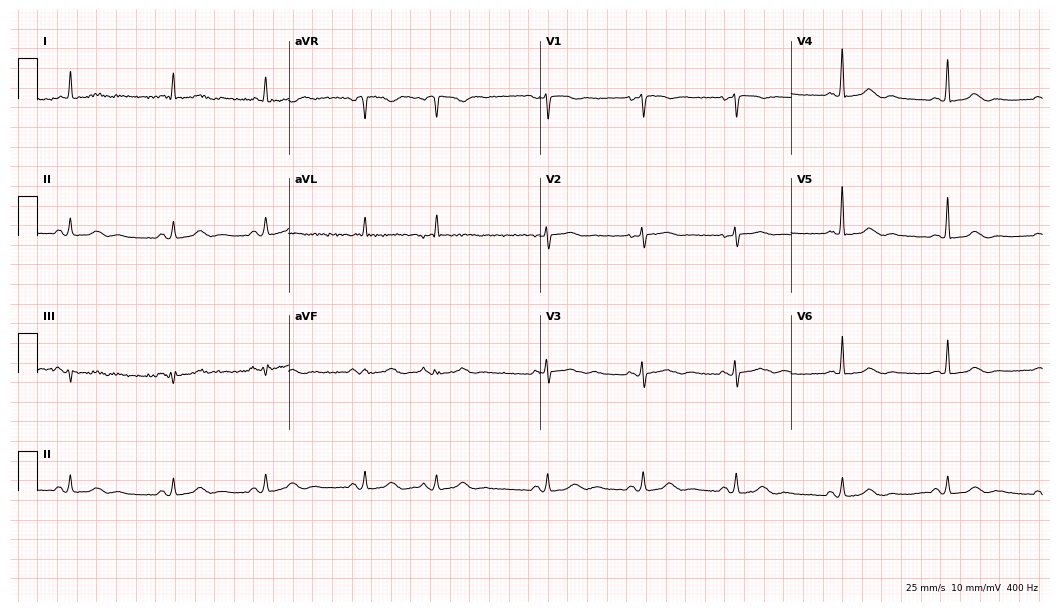
12-lead ECG (10.2-second recording at 400 Hz) from a female, 72 years old. Screened for six findings — first-degree AV block, right bundle branch block, left bundle branch block, sinus bradycardia, atrial fibrillation, sinus tachycardia — none is recorded. Findings outside these six are not listed.